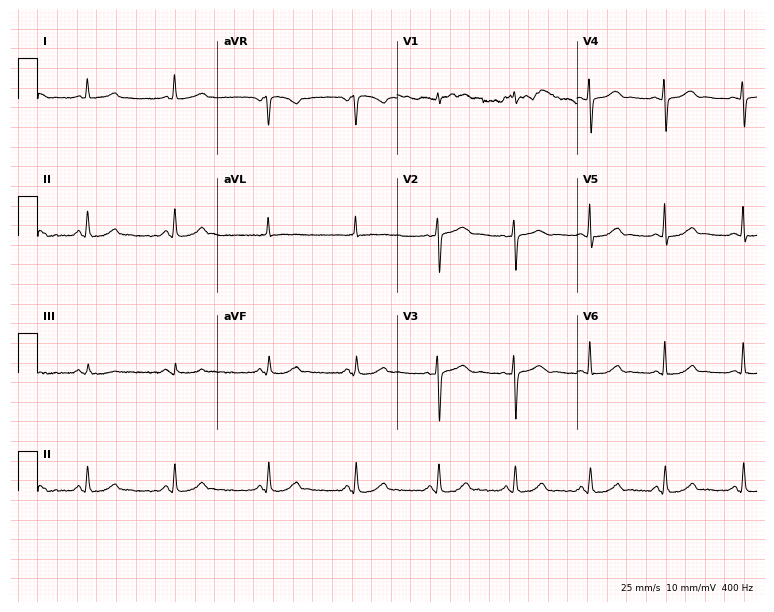
12-lead ECG from a female, 46 years old (7.3-second recording at 400 Hz). Recorded interpretation: within normal limits.